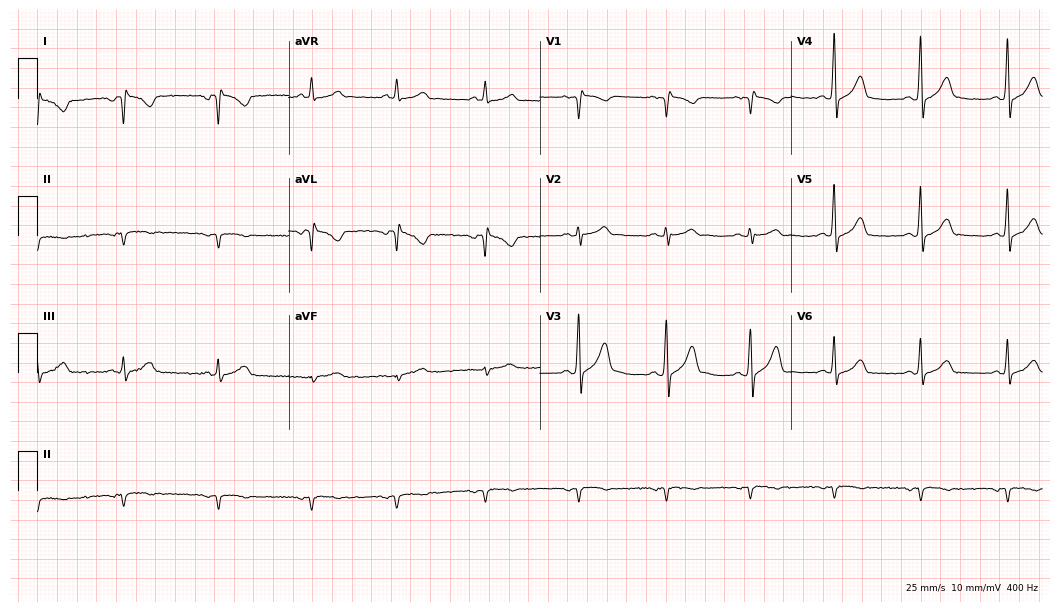
Electrocardiogram (10.2-second recording at 400 Hz), a man, 30 years old. Of the six screened findings (first-degree AV block, right bundle branch block (RBBB), left bundle branch block (LBBB), sinus bradycardia, atrial fibrillation (AF), sinus tachycardia), none is recorded.